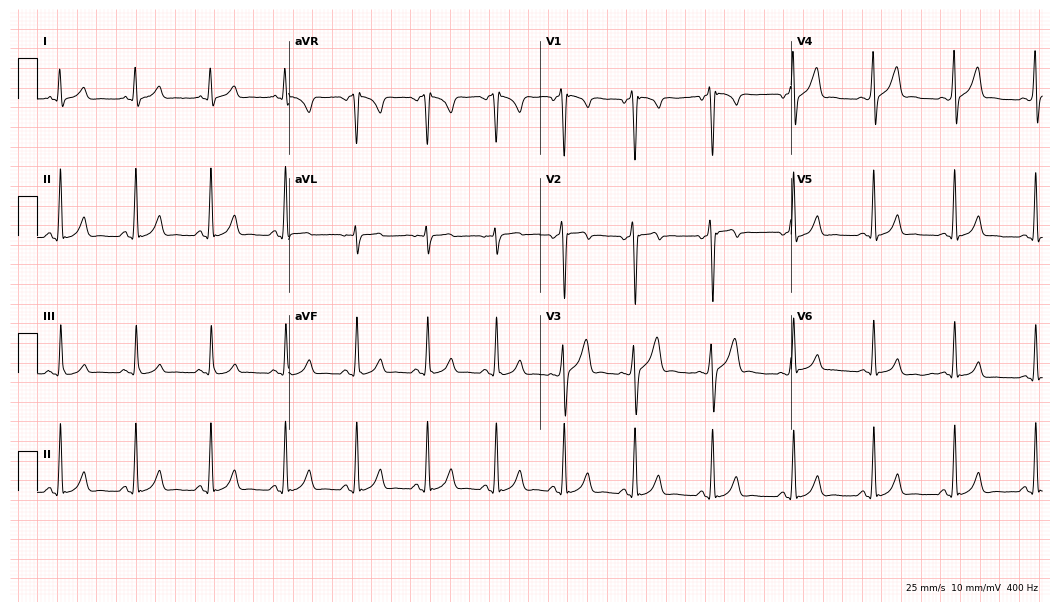
12-lead ECG (10.2-second recording at 400 Hz) from a 20-year-old man. Screened for six findings — first-degree AV block, right bundle branch block, left bundle branch block, sinus bradycardia, atrial fibrillation, sinus tachycardia — none is recorded. Only these six findings were labelled.